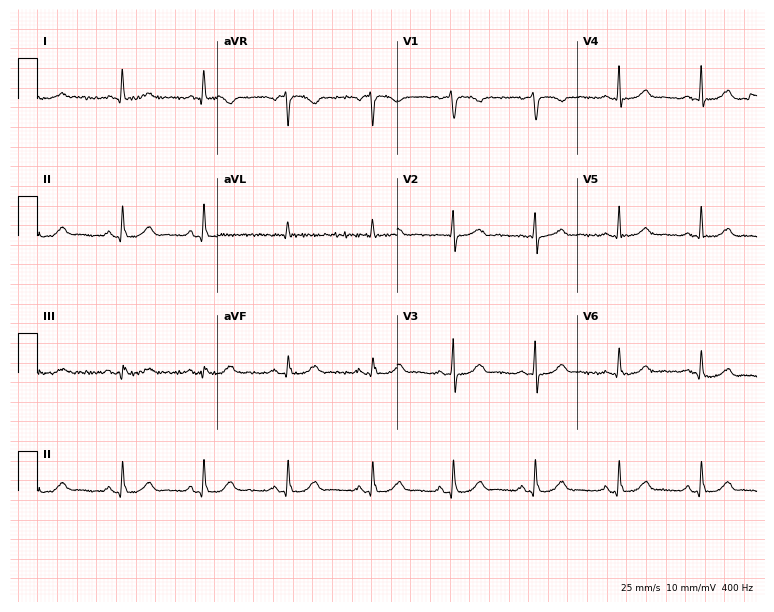
ECG (7.3-second recording at 400 Hz) — a 49-year-old female. Labelled as a normal ECG.